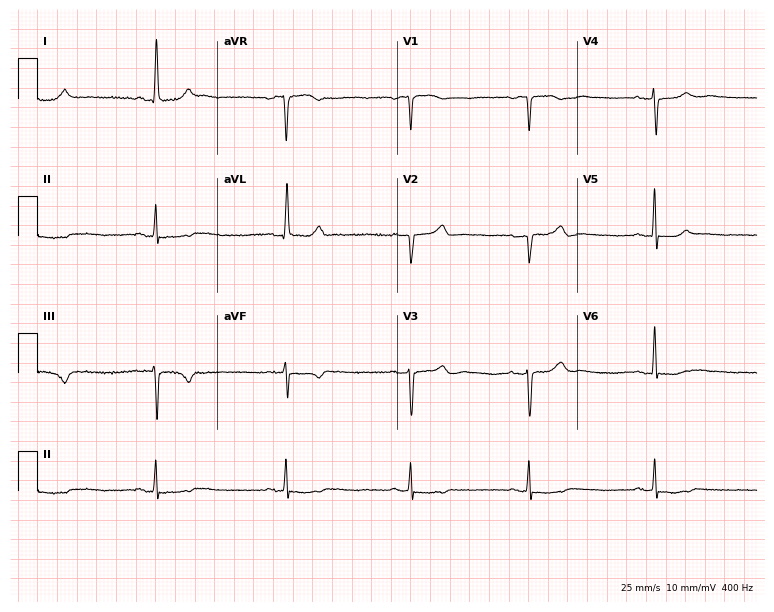
Standard 12-lead ECG recorded from a 74-year-old female (7.3-second recording at 400 Hz). None of these six findings is recorded: first-degree AV block, right bundle branch block (RBBB), left bundle branch block (LBBB), sinus bradycardia, atrial fibrillation (AF), sinus tachycardia. Other findings, if any, are not listed.